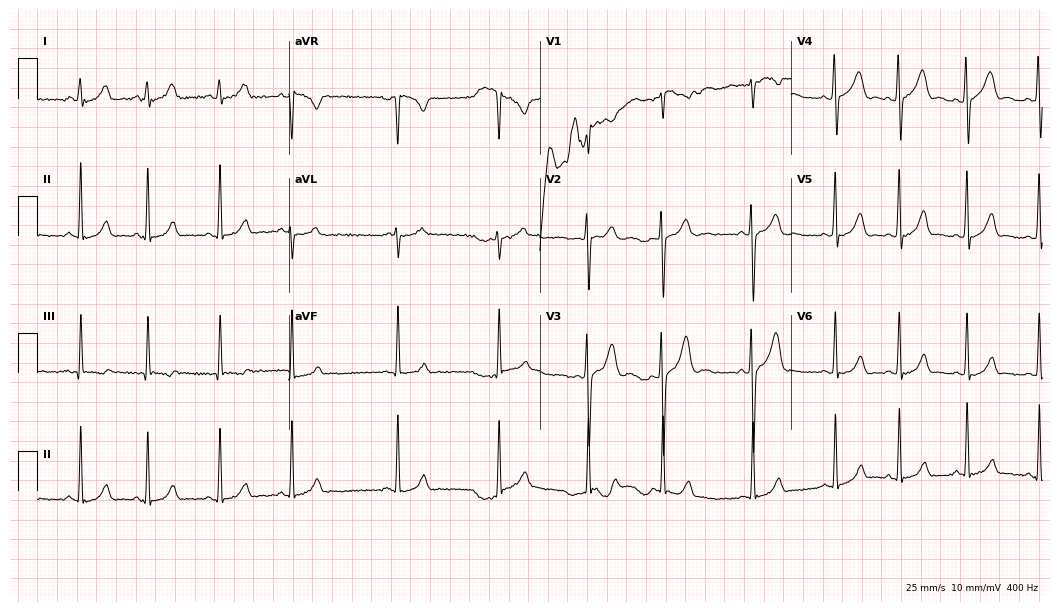
12-lead ECG from a woman, 18 years old. Recorded interpretation: within normal limits.